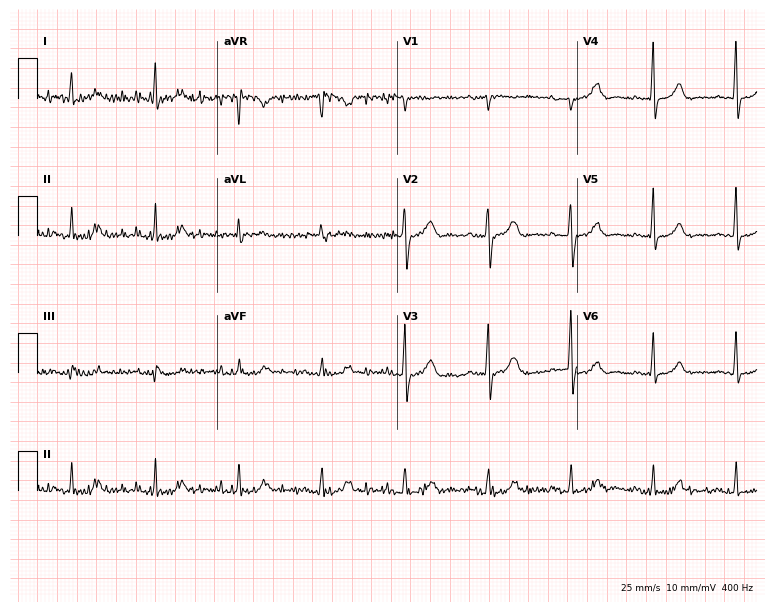
12-lead ECG from a man, 84 years old. Recorded interpretation: within normal limits.